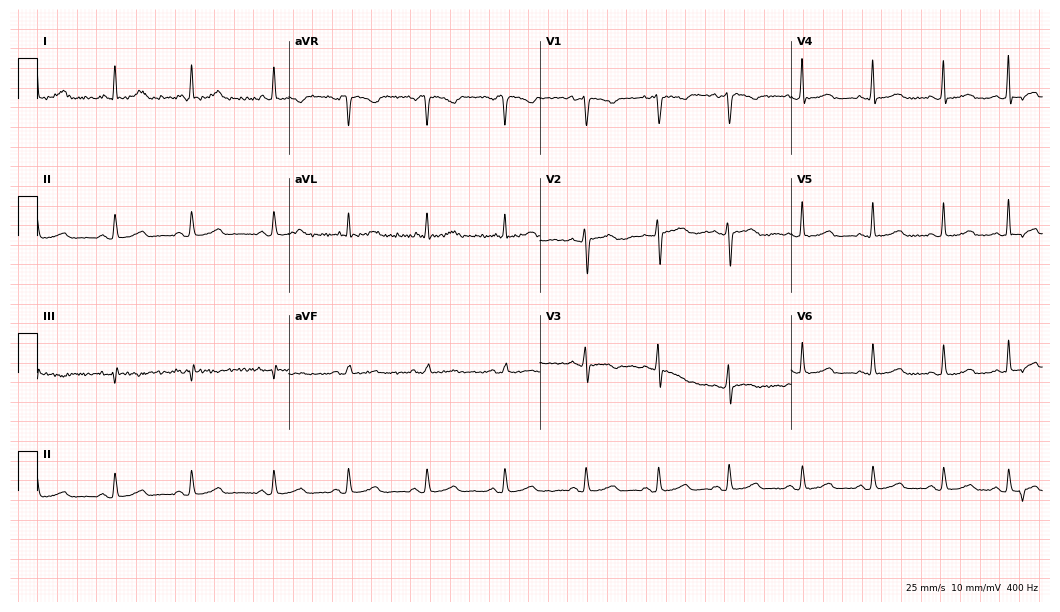
Resting 12-lead electrocardiogram. Patient: a 40-year-old female. Read as a normal ECG.